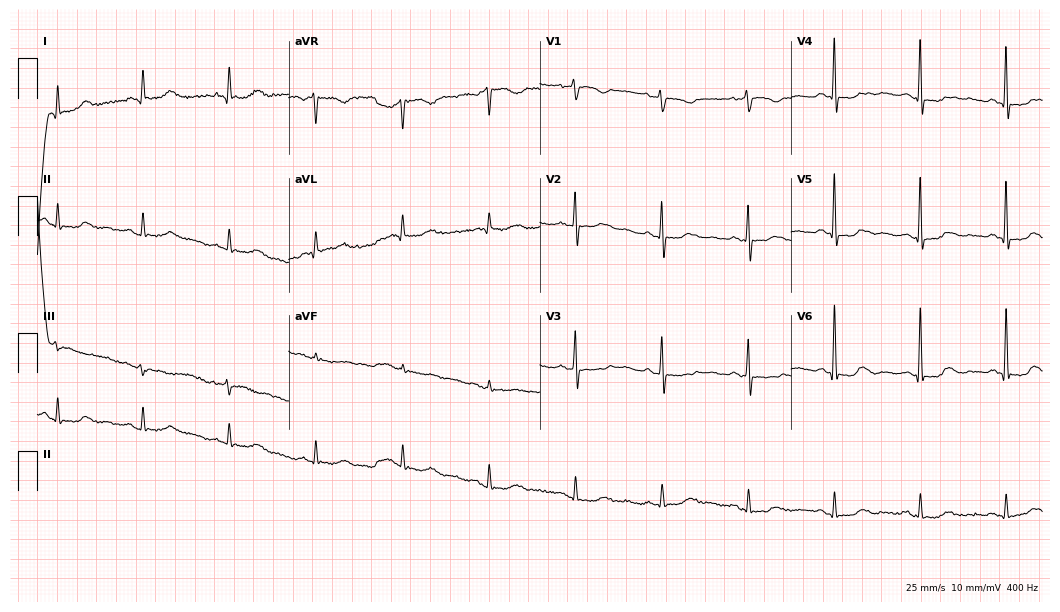
ECG — a 77-year-old woman. Labelled as a normal ECG.